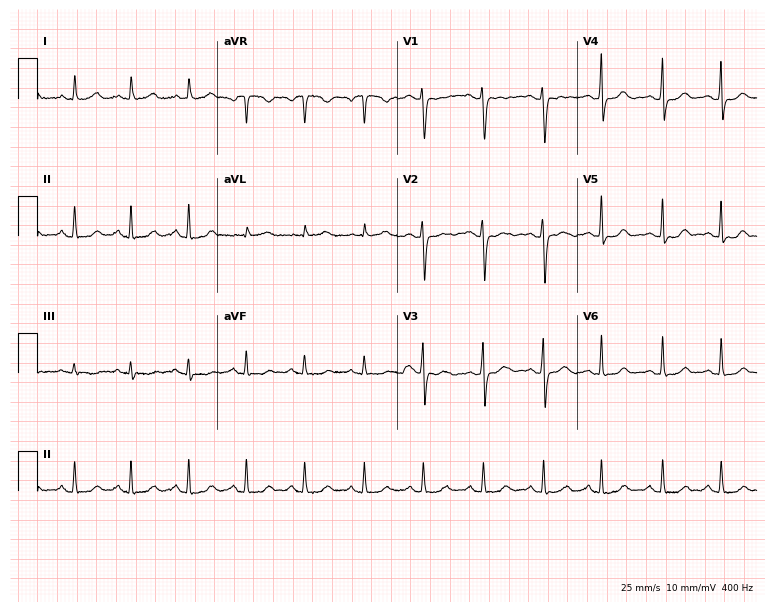
Resting 12-lead electrocardiogram (7.3-second recording at 400 Hz). Patient: a 31-year-old woman. Read as a normal ECG.